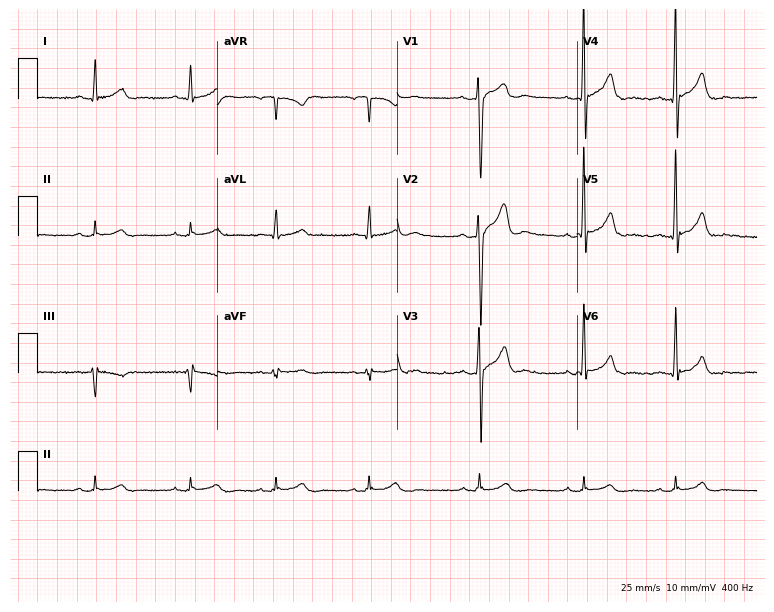
12-lead ECG from a man, 29 years old. No first-degree AV block, right bundle branch block, left bundle branch block, sinus bradycardia, atrial fibrillation or sinus tachycardia recorded for this tracing.